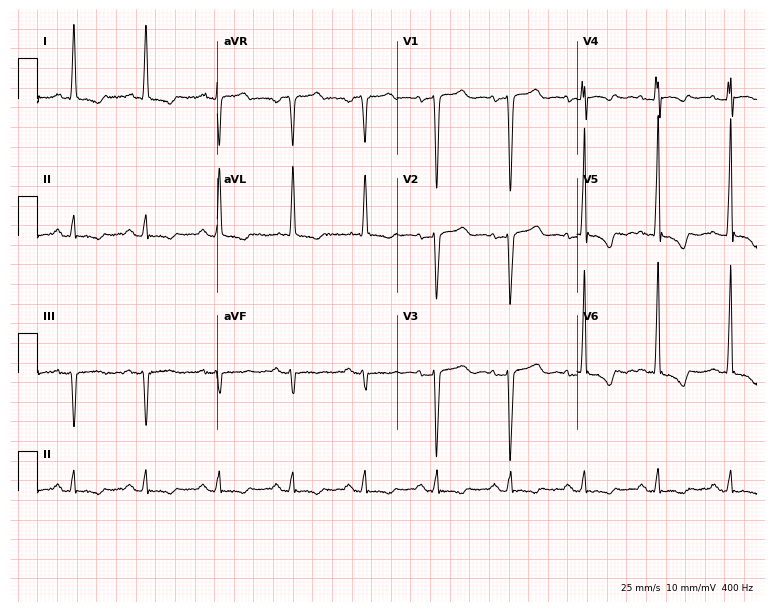
Standard 12-lead ECG recorded from a 61-year-old female patient (7.3-second recording at 400 Hz). None of these six findings is recorded: first-degree AV block, right bundle branch block, left bundle branch block, sinus bradycardia, atrial fibrillation, sinus tachycardia. Other findings, if any, are not listed.